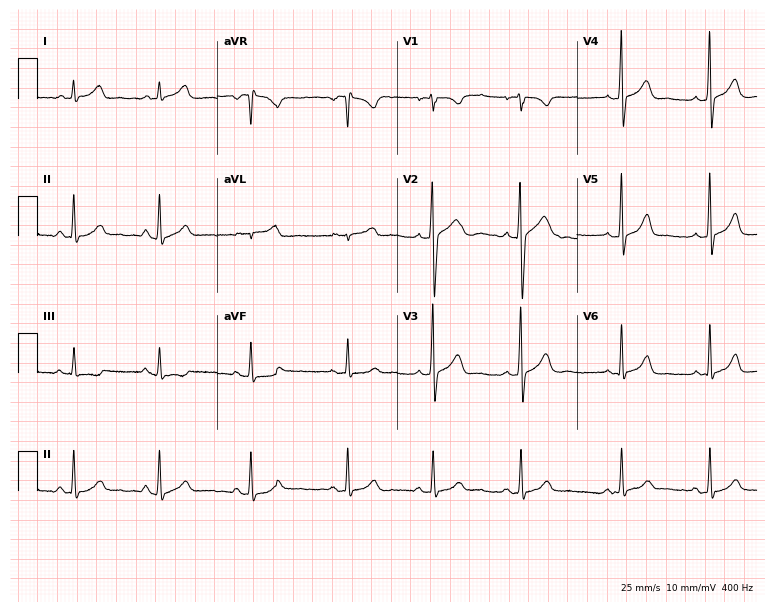
ECG — a 17-year-old female. Labelled as a normal ECG.